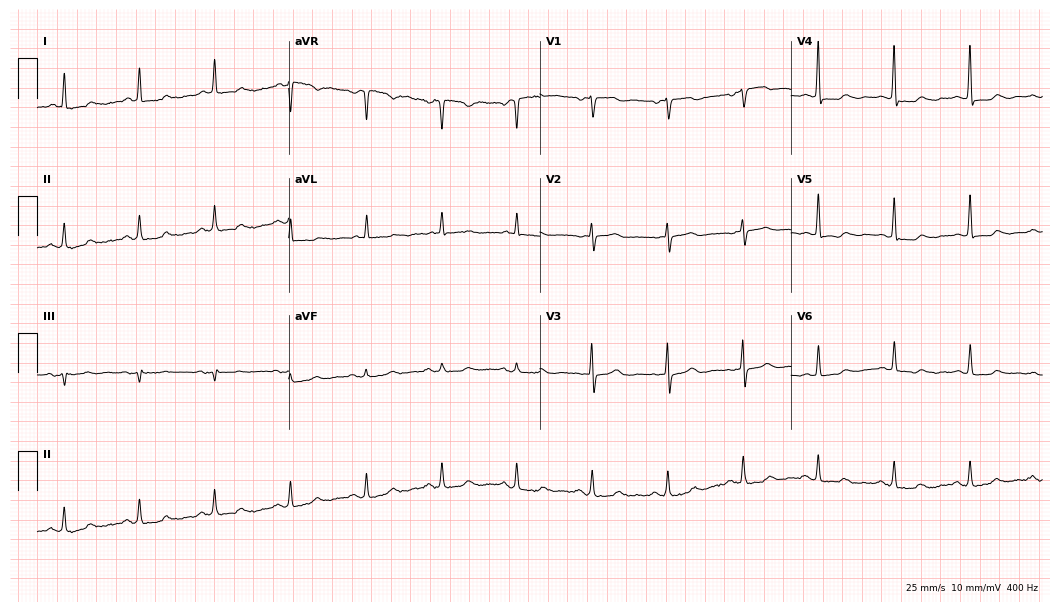
Standard 12-lead ECG recorded from a female patient, 85 years old (10.2-second recording at 400 Hz). None of these six findings is recorded: first-degree AV block, right bundle branch block, left bundle branch block, sinus bradycardia, atrial fibrillation, sinus tachycardia.